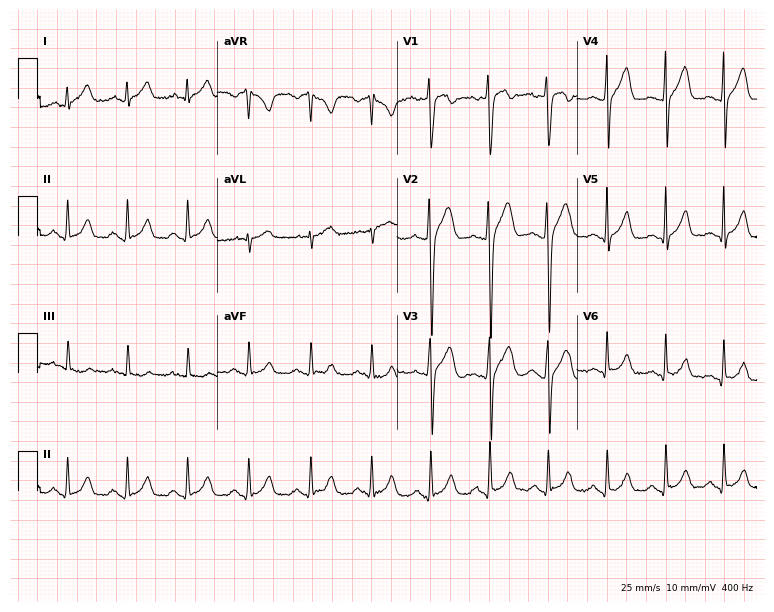
ECG — a 31-year-old man. Labelled as a normal ECG.